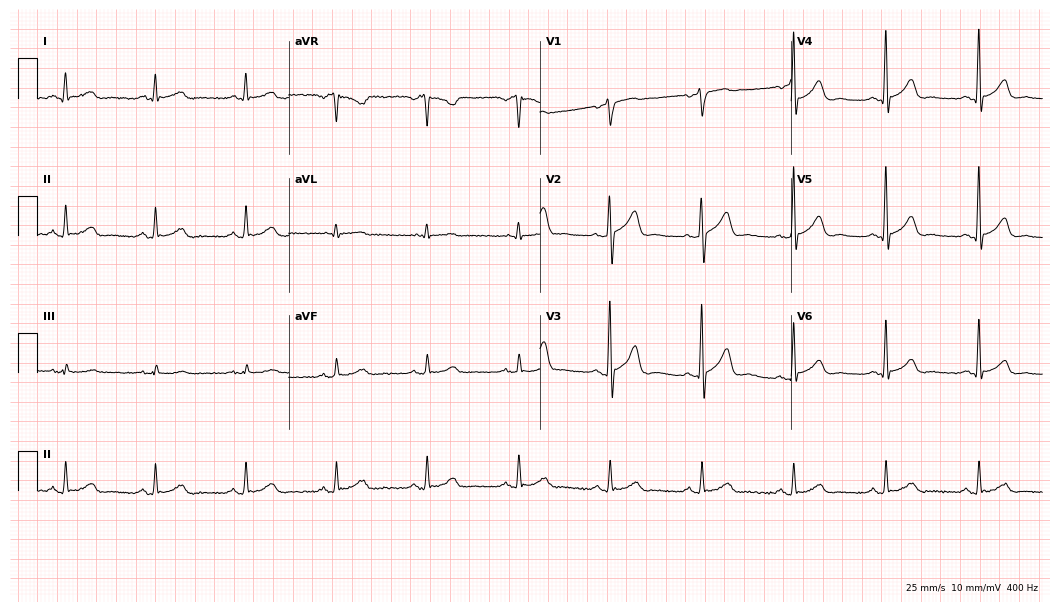
Resting 12-lead electrocardiogram. Patient: a 52-year-old male. Read as a normal ECG.